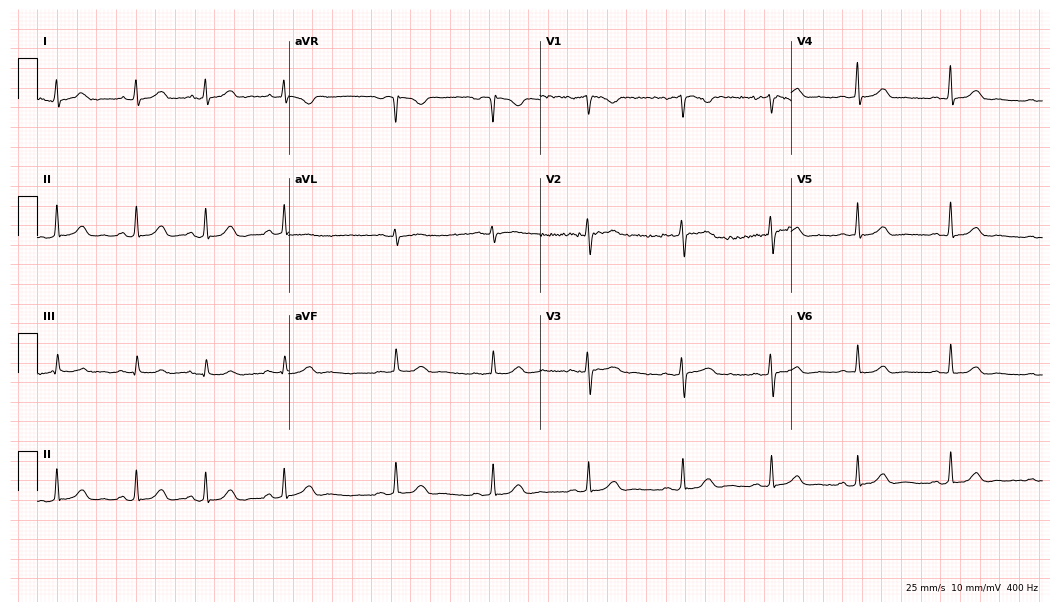
Resting 12-lead electrocardiogram (10.2-second recording at 400 Hz). Patient: a 35-year-old female. Read as a normal ECG.